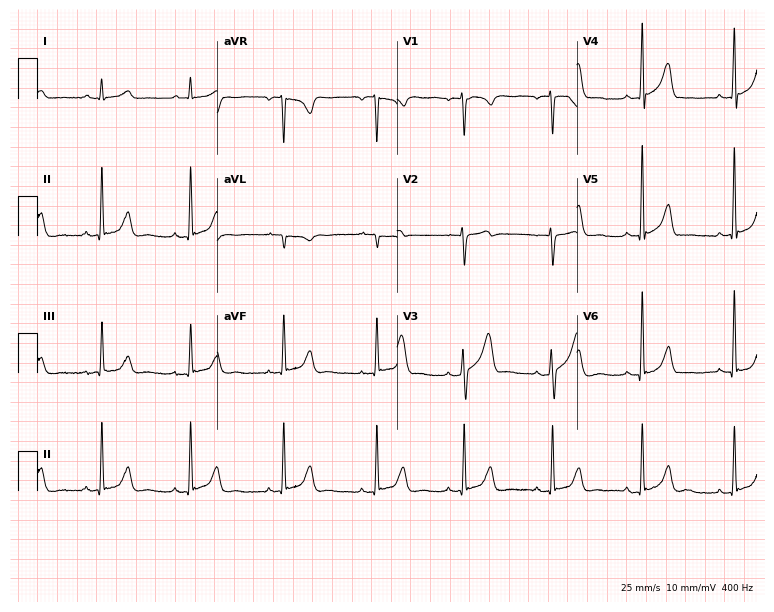
Standard 12-lead ECG recorded from a male, 55 years old (7.3-second recording at 400 Hz). Read as a normal ECG.